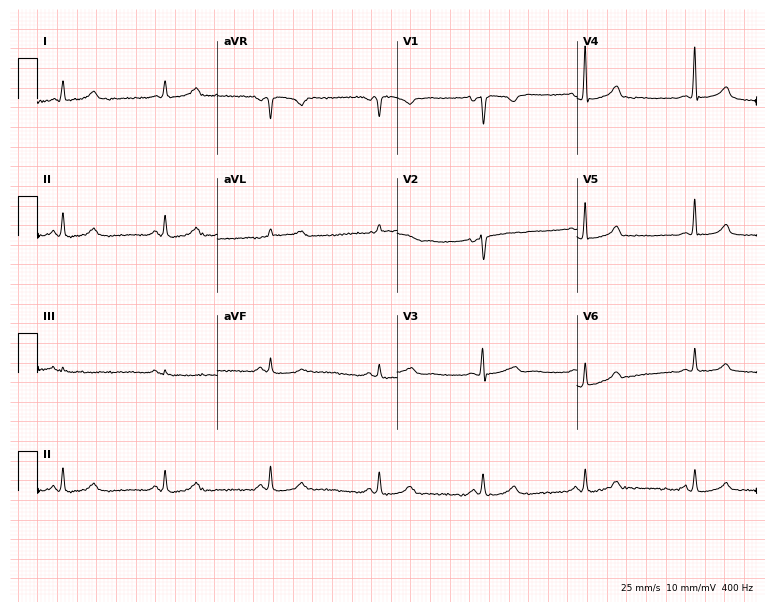
Electrocardiogram (7.3-second recording at 400 Hz), a 41-year-old woman. Of the six screened findings (first-degree AV block, right bundle branch block, left bundle branch block, sinus bradycardia, atrial fibrillation, sinus tachycardia), none is recorded. Findings outside these six are not listed.